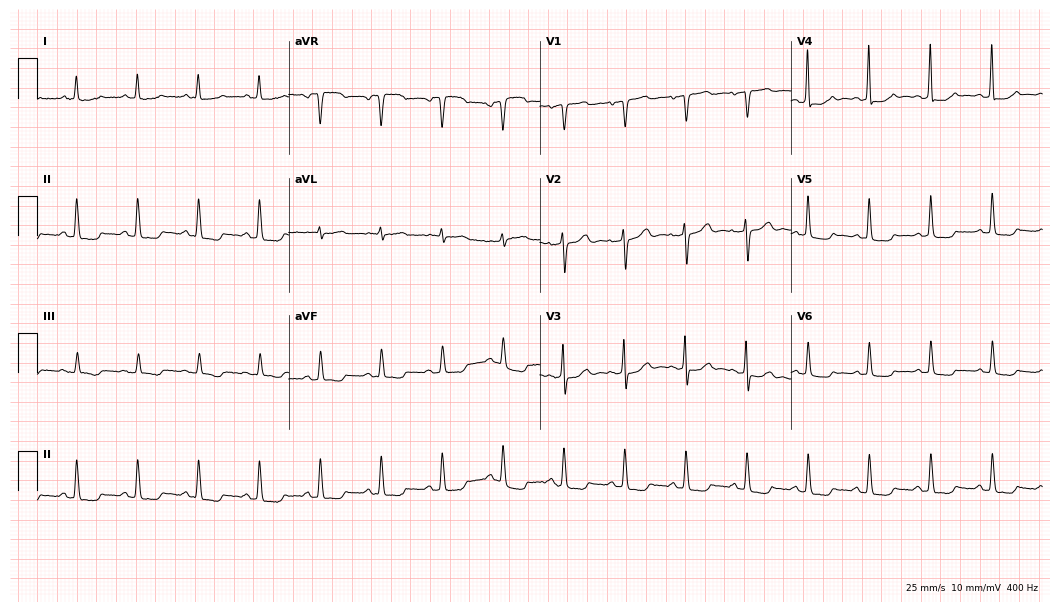
ECG (10.2-second recording at 400 Hz) — an 81-year-old female patient. Screened for six findings — first-degree AV block, right bundle branch block, left bundle branch block, sinus bradycardia, atrial fibrillation, sinus tachycardia — none is recorded. Other findings, if any, are not listed.